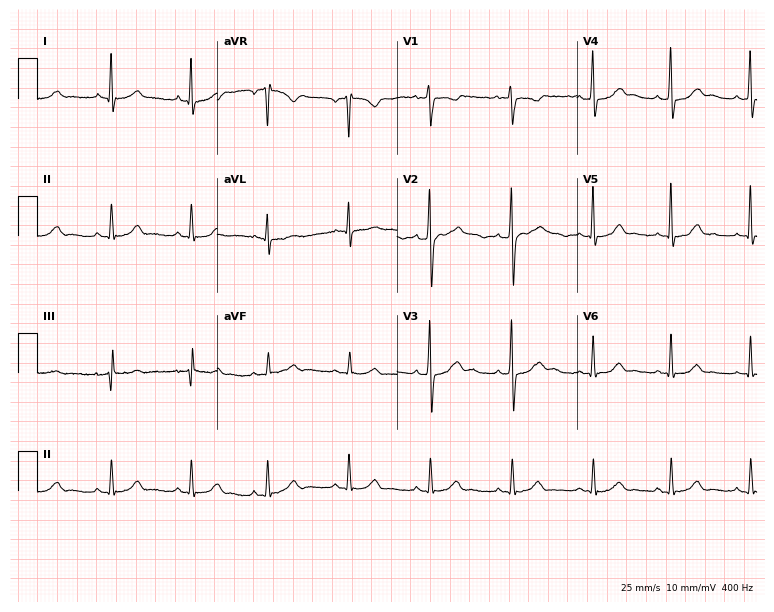
12-lead ECG from a female patient, 39 years old. Labelled as a normal ECG.